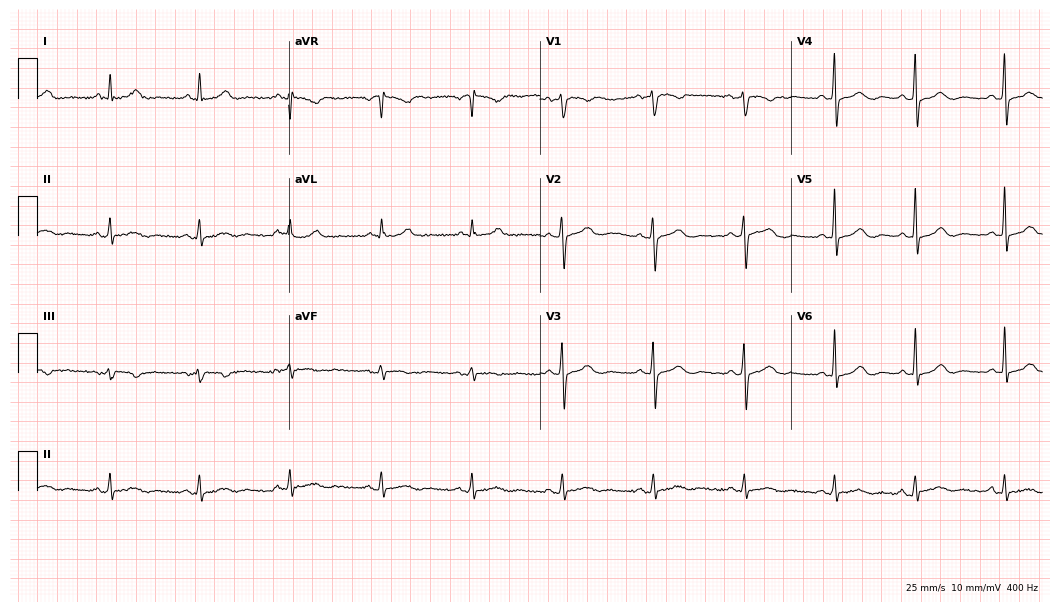
ECG (10.2-second recording at 400 Hz) — a female, 70 years old. Labelled as a normal ECG.